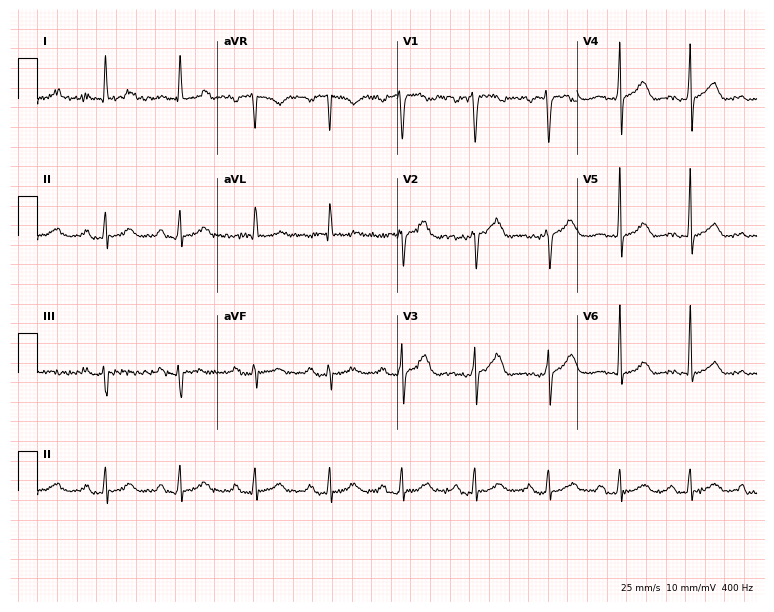
12-lead ECG (7.3-second recording at 400 Hz) from a 56-year-old female. Labelled as a normal ECG.